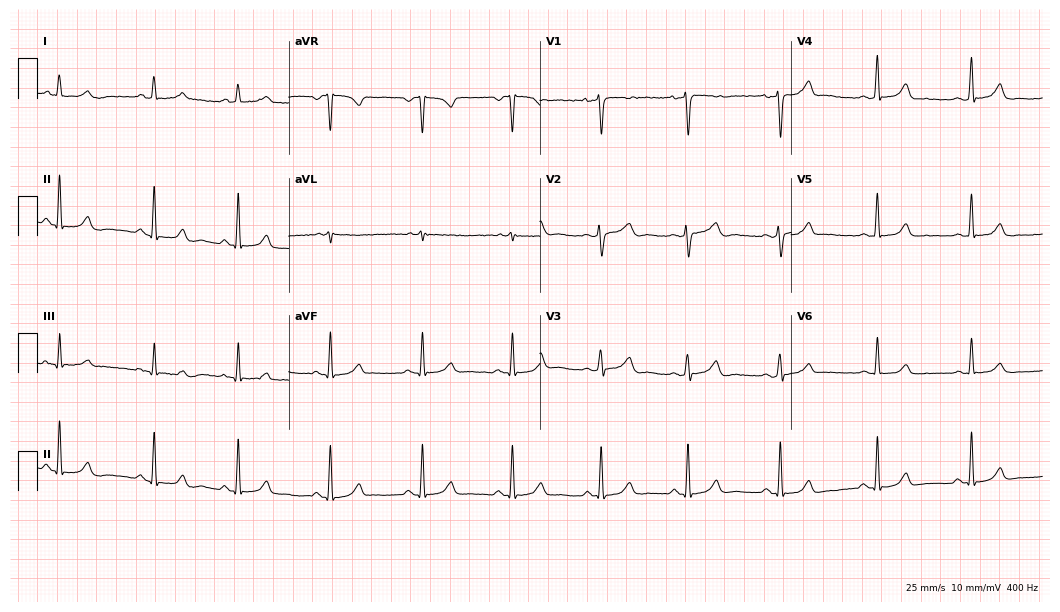
Resting 12-lead electrocardiogram. Patient: a 47-year-old female. Read as a normal ECG.